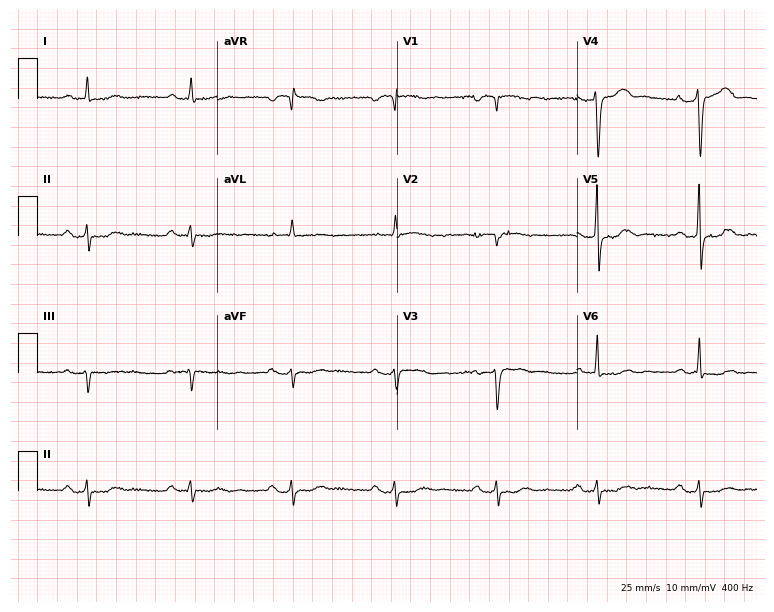
12-lead ECG from a man, 71 years old (7.3-second recording at 400 Hz). Shows first-degree AV block.